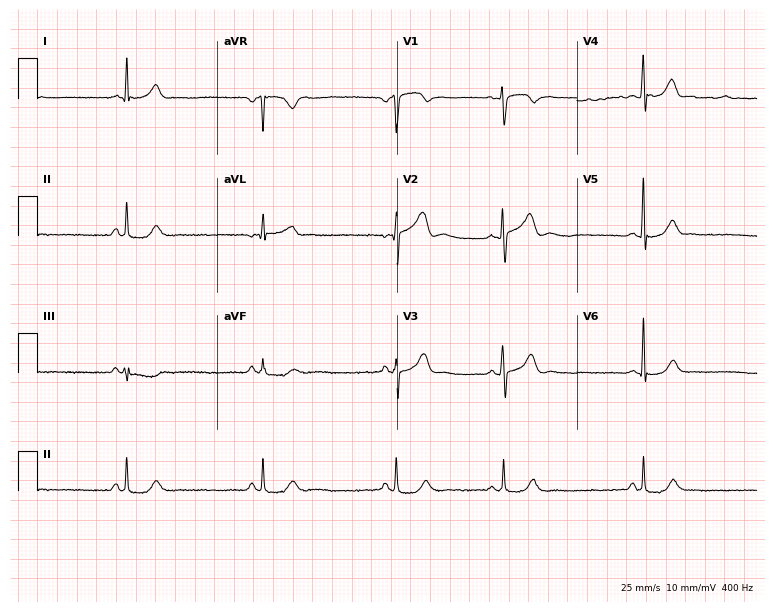
12-lead ECG from a male patient, 44 years old. Labelled as a normal ECG.